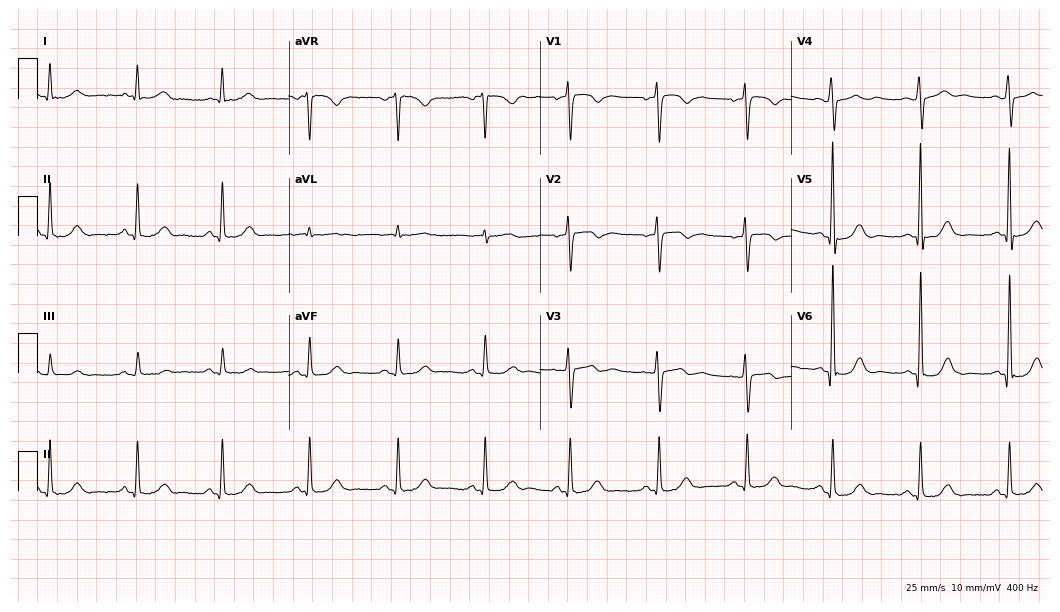
12-lead ECG (10.2-second recording at 400 Hz) from a woman, 64 years old. Labelled as a normal ECG.